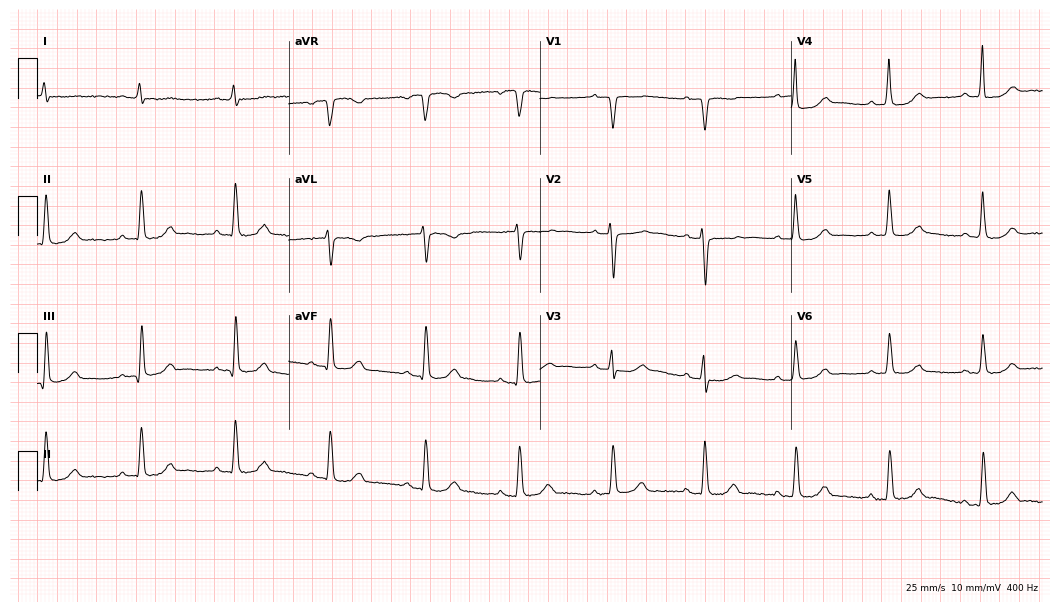
Resting 12-lead electrocardiogram. Patient: an 80-year-old man. Read as a normal ECG.